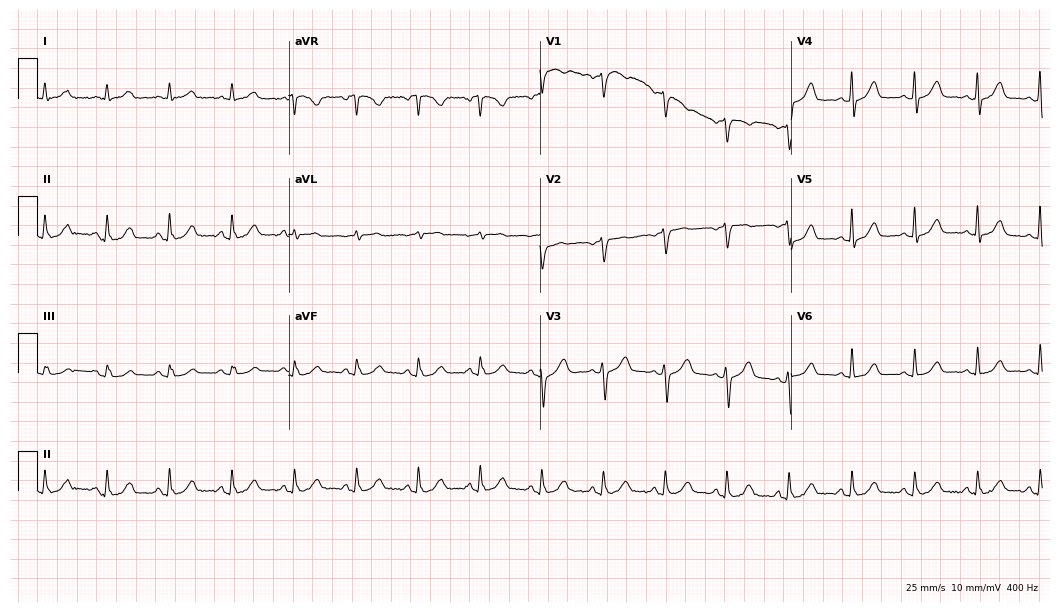
12-lead ECG from a female, 54 years old. Labelled as a normal ECG.